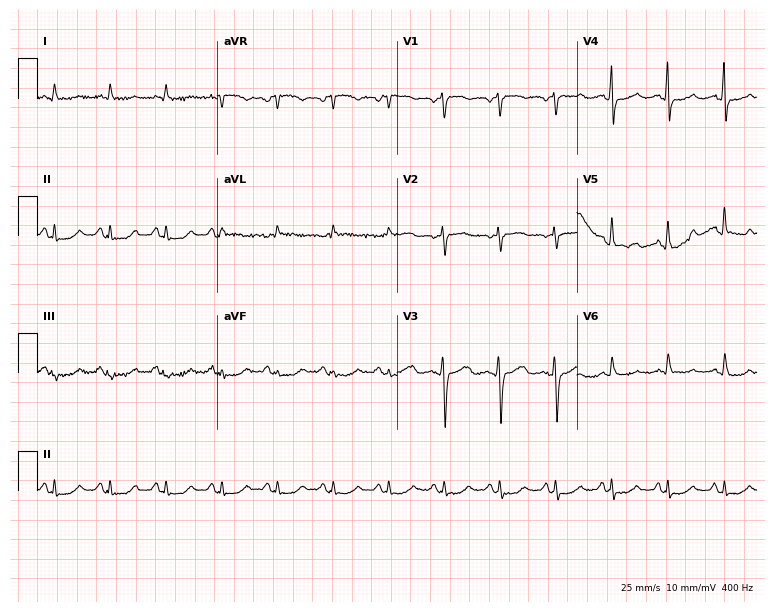
Standard 12-lead ECG recorded from a man, 61 years old. The tracing shows sinus tachycardia (a sinus rate of 100 beats per minute or more).